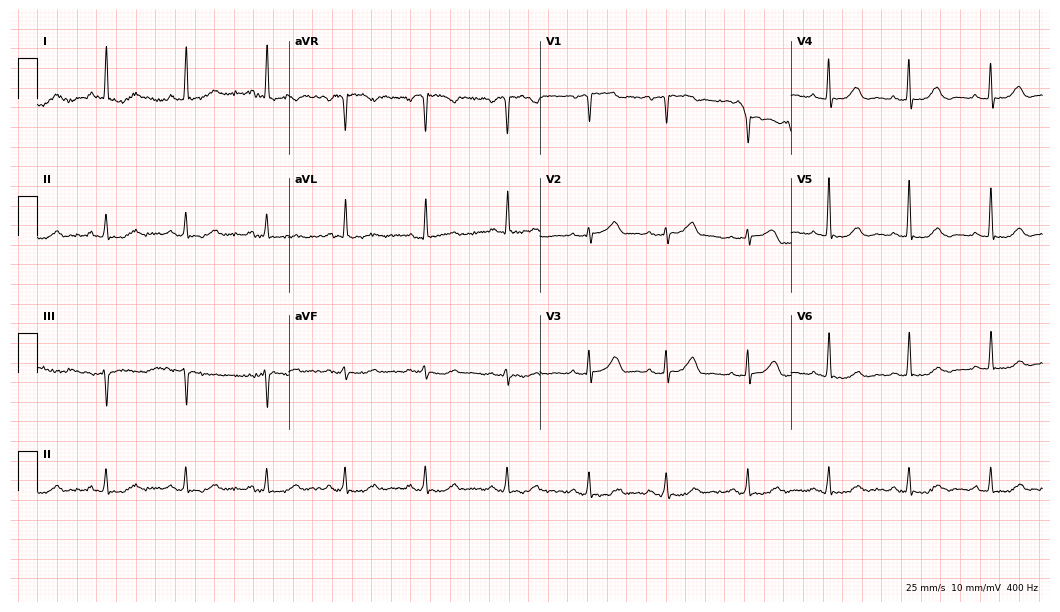
Resting 12-lead electrocardiogram. Patient: an 84-year-old female. Read as a normal ECG.